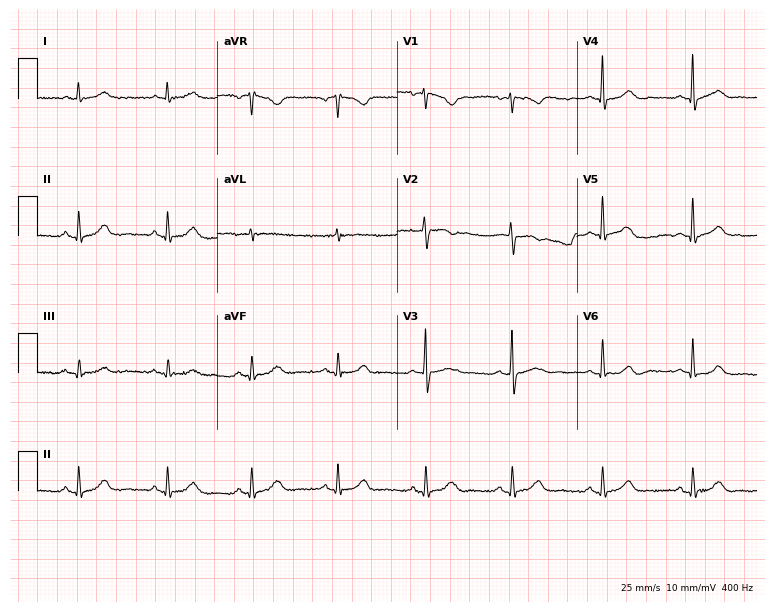
12-lead ECG (7.3-second recording at 400 Hz) from a 40-year-old female patient. Labelled as a normal ECG.